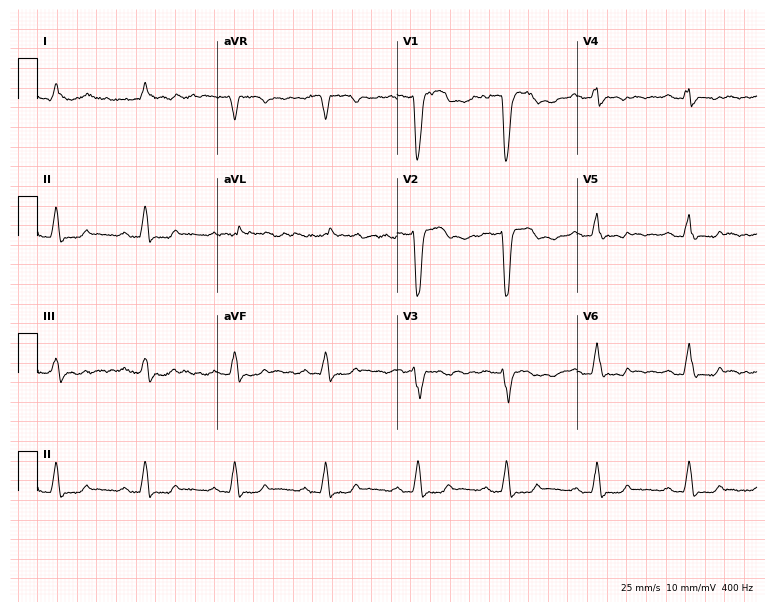
12-lead ECG (7.3-second recording at 400 Hz) from a 67-year-old female. Findings include left bundle branch block.